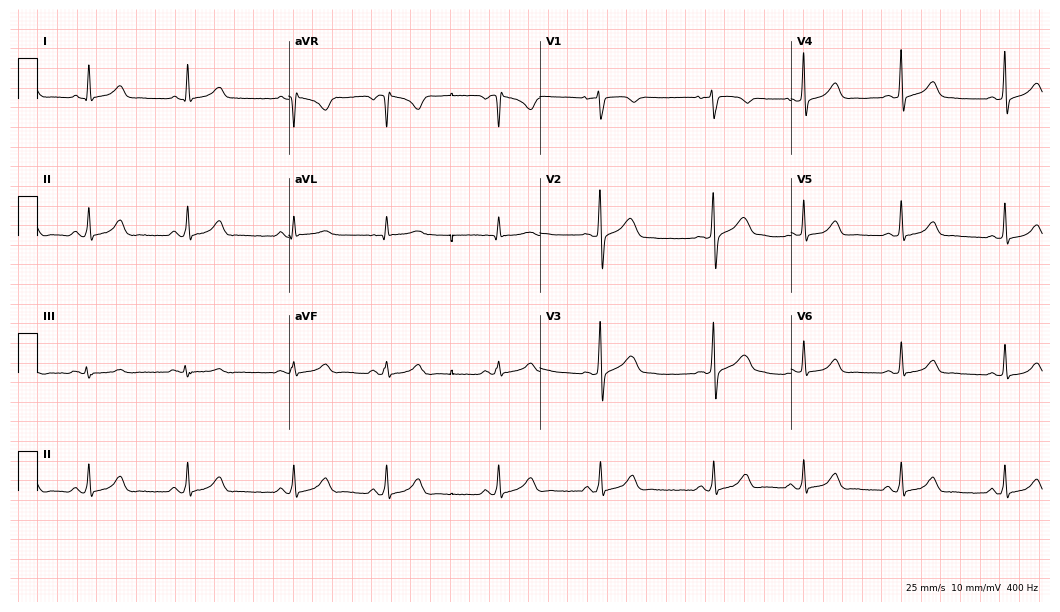
12-lead ECG from a 31-year-old female patient. Screened for six findings — first-degree AV block, right bundle branch block, left bundle branch block, sinus bradycardia, atrial fibrillation, sinus tachycardia — none is recorded.